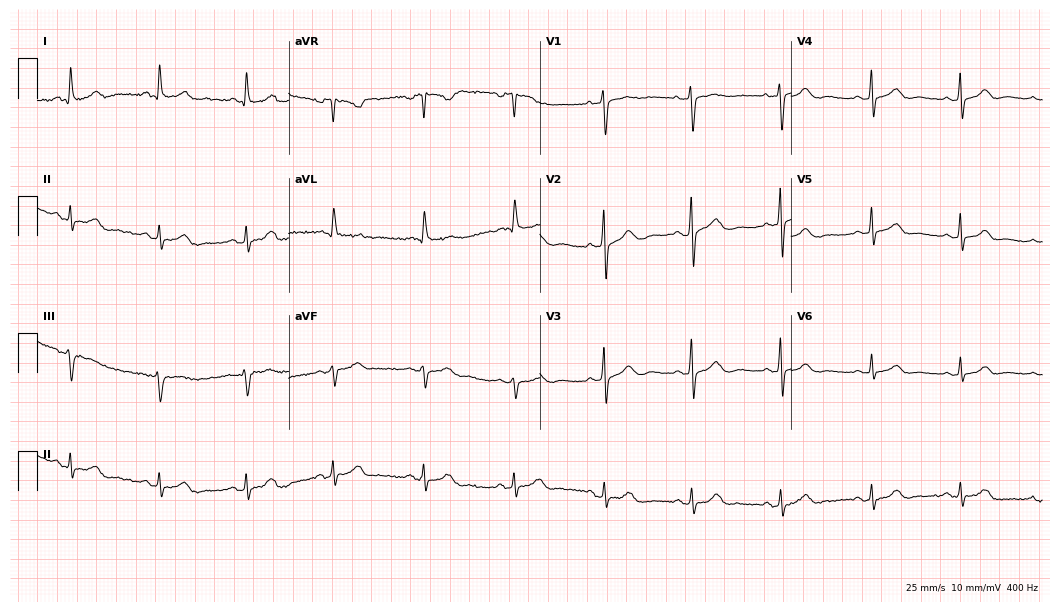
Electrocardiogram, a female, 65 years old. Overall reading on record: normal ECG.